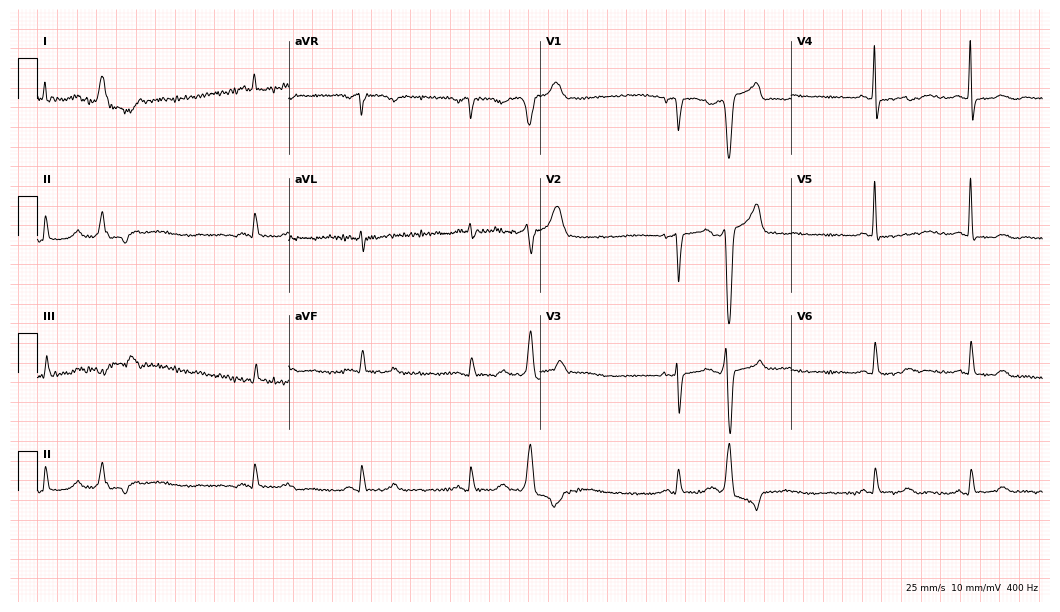
Electrocardiogram, an 81-year-old female patient. Of the six screened findings (first-degree AV block, right bundle branch block (RBBB), left bundle branch block (LBBB), sinus bradycardia, atrial fibrillation (AF), sinus tachycardia), none is recorded. Findings outside these six are not listed.